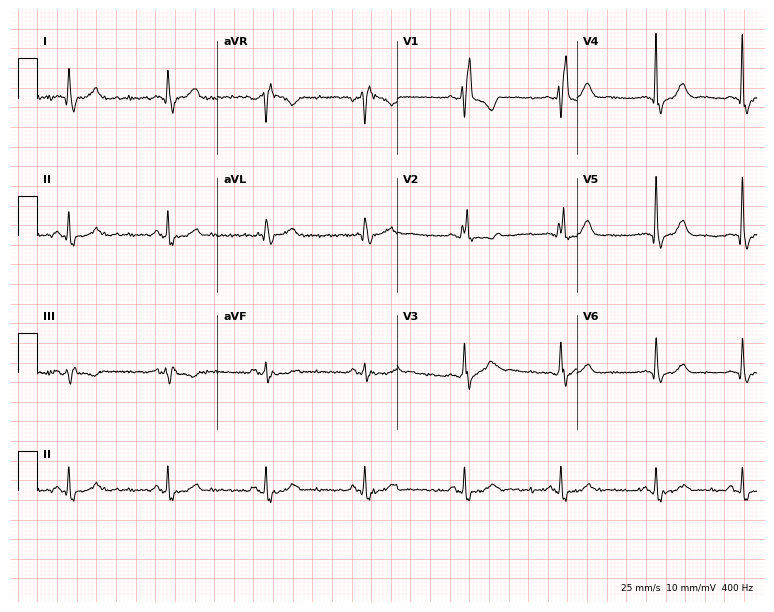
12-lead ECG from a 73-year-old male. Findings include right bundle branch block (RBBB).